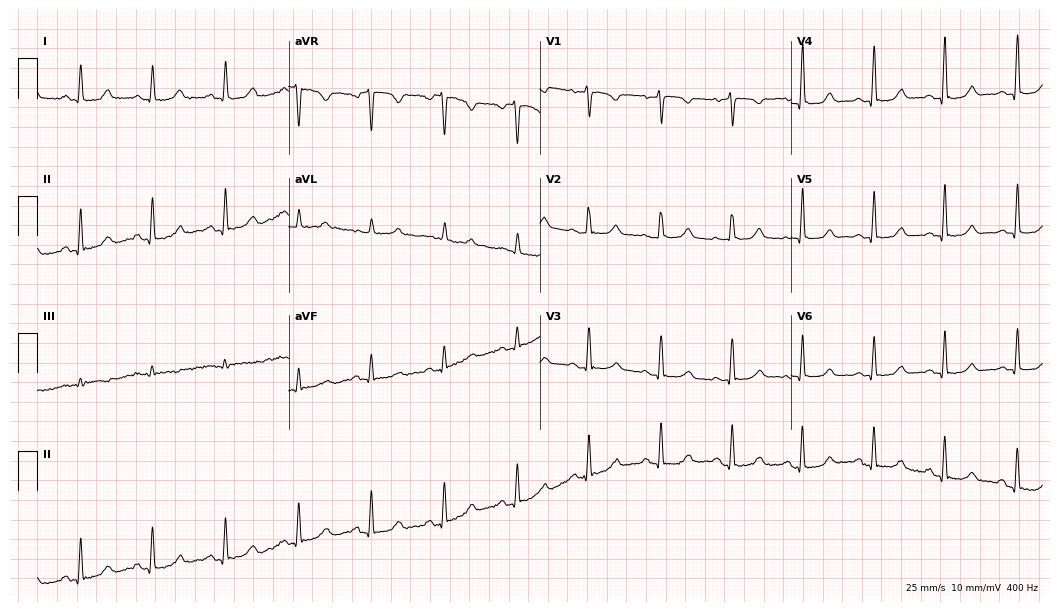
Electrocardiogram, a 55-year-old female patient. Overall reading on record: normal ECG.